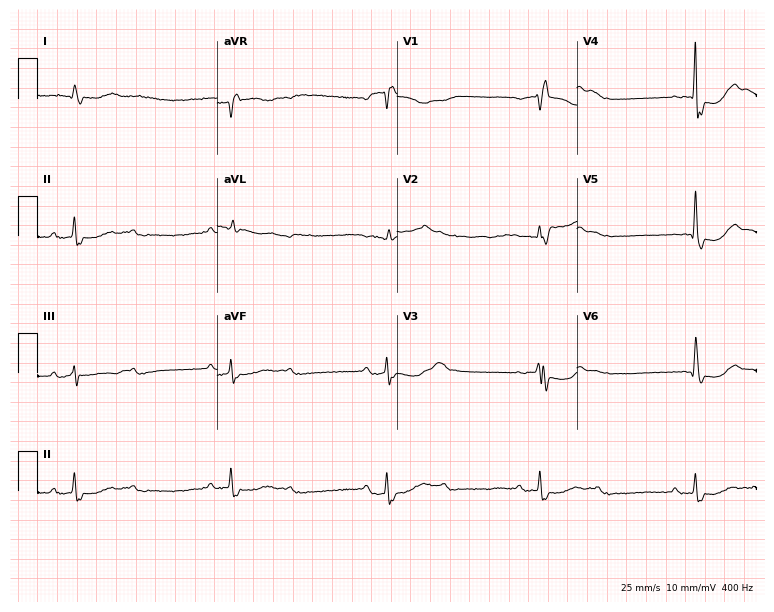
Resting 12-lead electrocardiogram (7.3-second recording at 400 Hz). Patient: an 85-year-old male. The tracing shows first-degree AV block, right bundle branch block (RBBB).